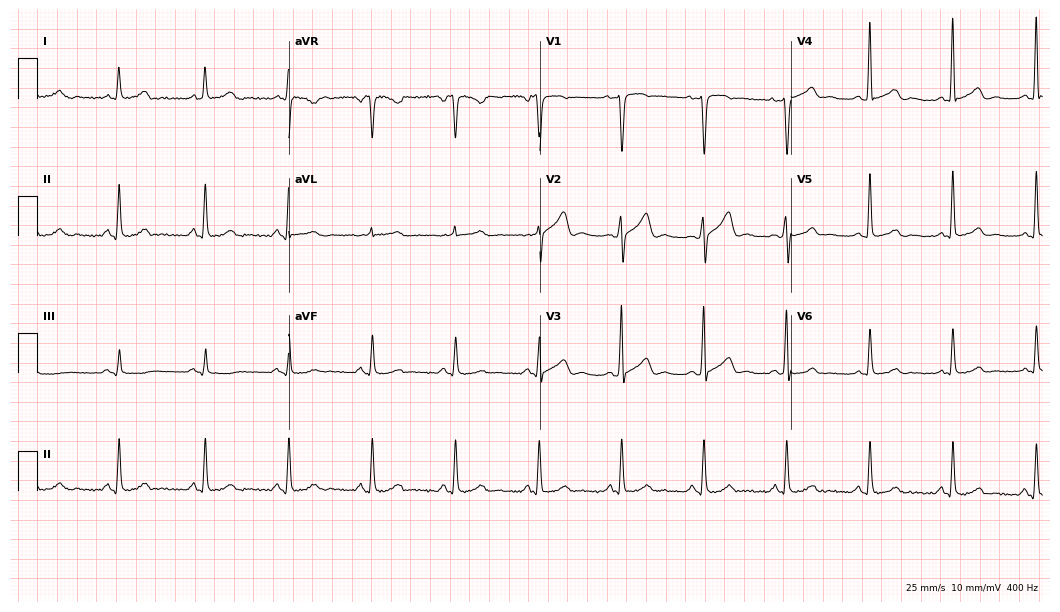
12-lead ECG from a male, 50 years old. Recorded interpretation: within normal limits.